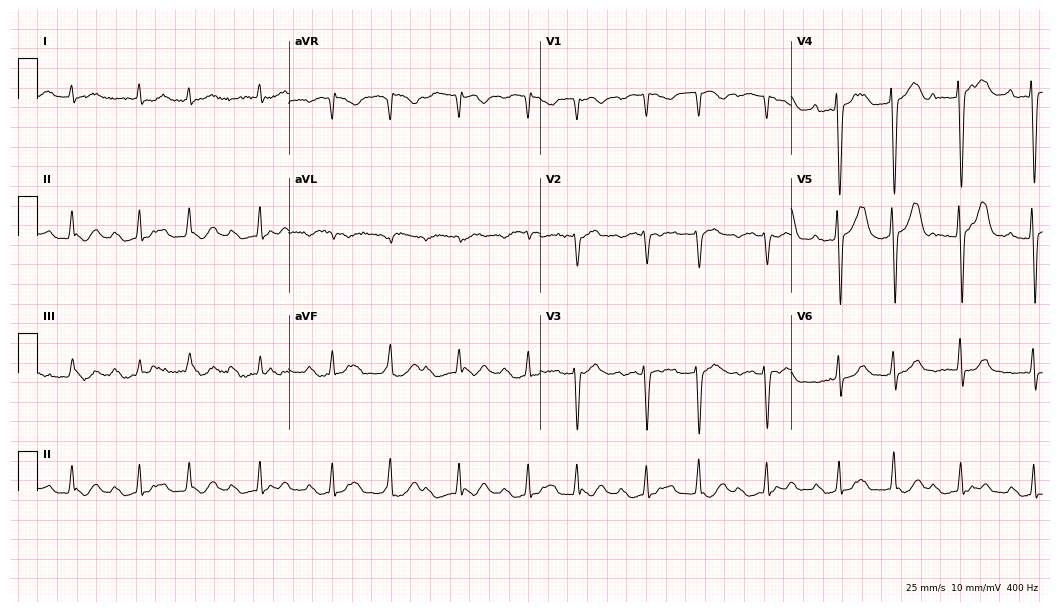
12-lead ECG from a male patient, 51 years old. Labelled as a normal ECG.